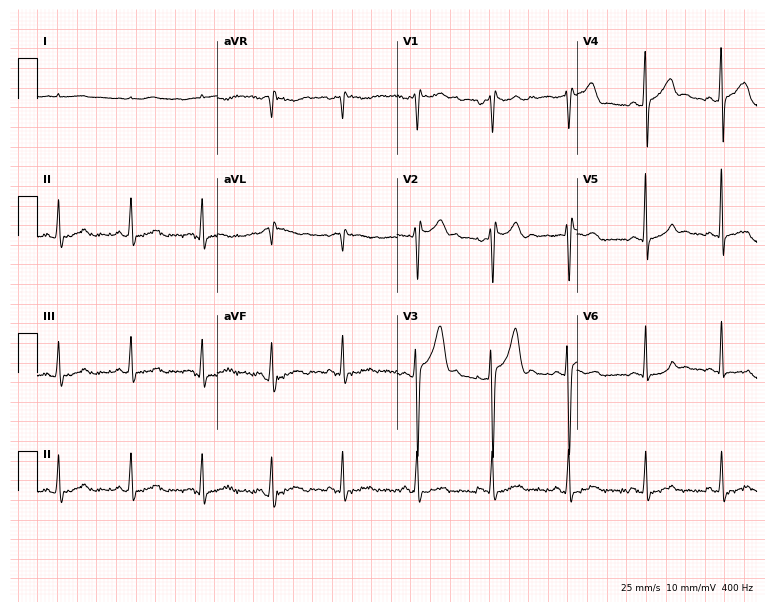
Standard 12-lead ECG recorded from a man, 37 years old. Read as a normal ECG.